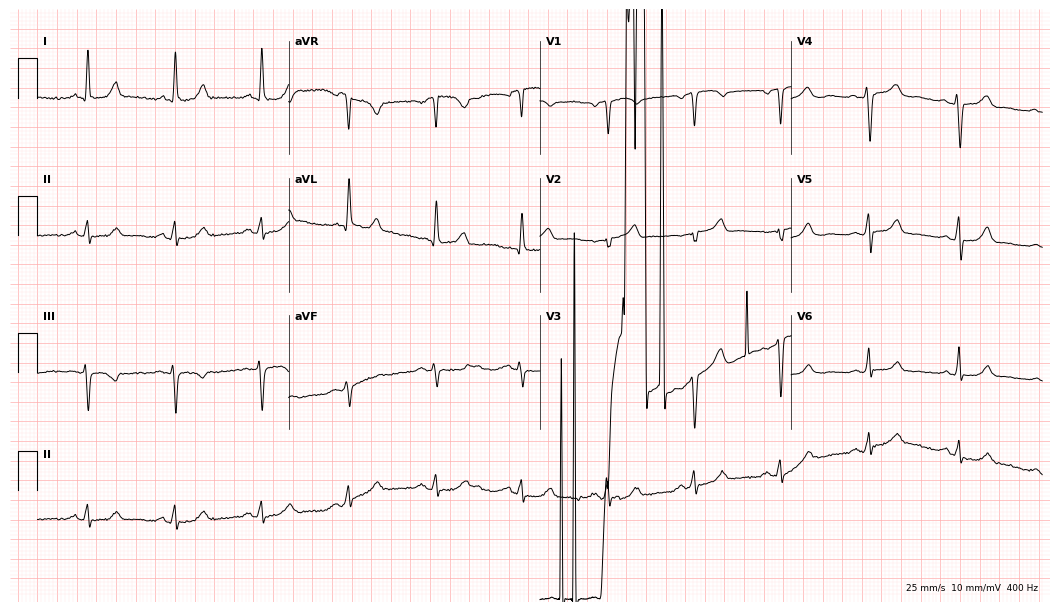
Standard 12-lead ECG recorded from a man, 67 years old (10.2-second recording at 400 Hz). None of these six findings is recorded: first-degree AV block, right bundle branch block, left bundle branch block, sinus bradycardia, atrial fibrillation, sinus tachycardia.